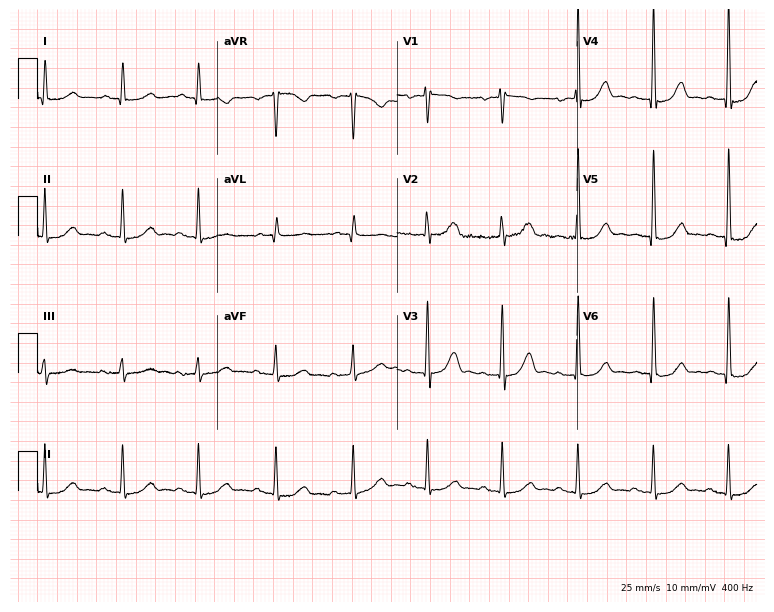
12-lead ECG from a man, 80 years old. Recorded interpretation: within normal limits.